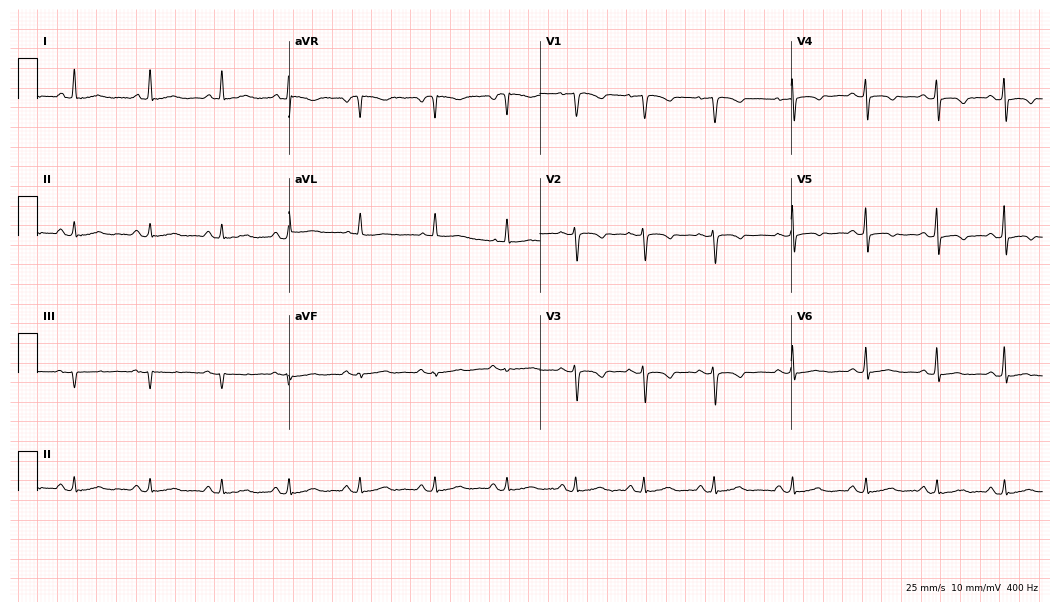
ECG — a 55-year-old woman. Labelled as a normal ECG.